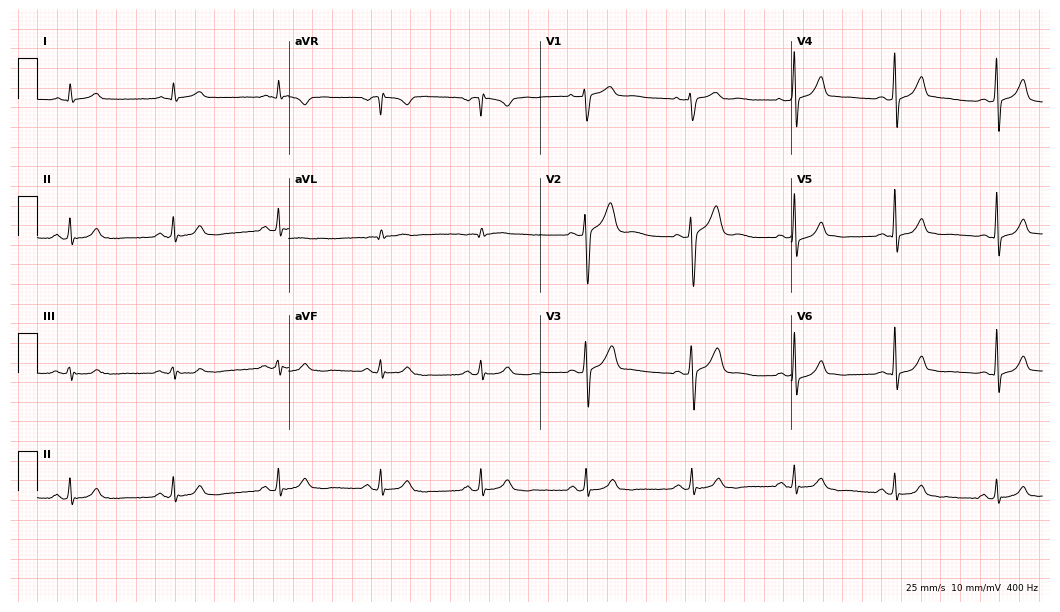
12-lead ECG from a 47-year-old male patient. Recorded interpretation: within normal limits.